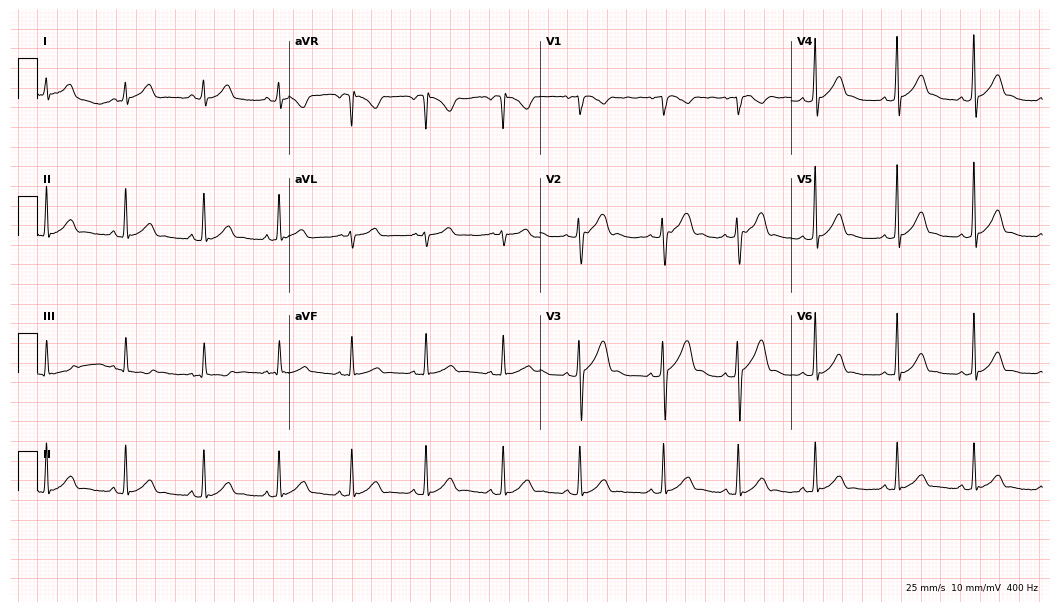
Resting 12-lead electrocardiogram (10.2-second recording at 400 Hz). Patient: a 33-year-old female. Read as a normal ECG.